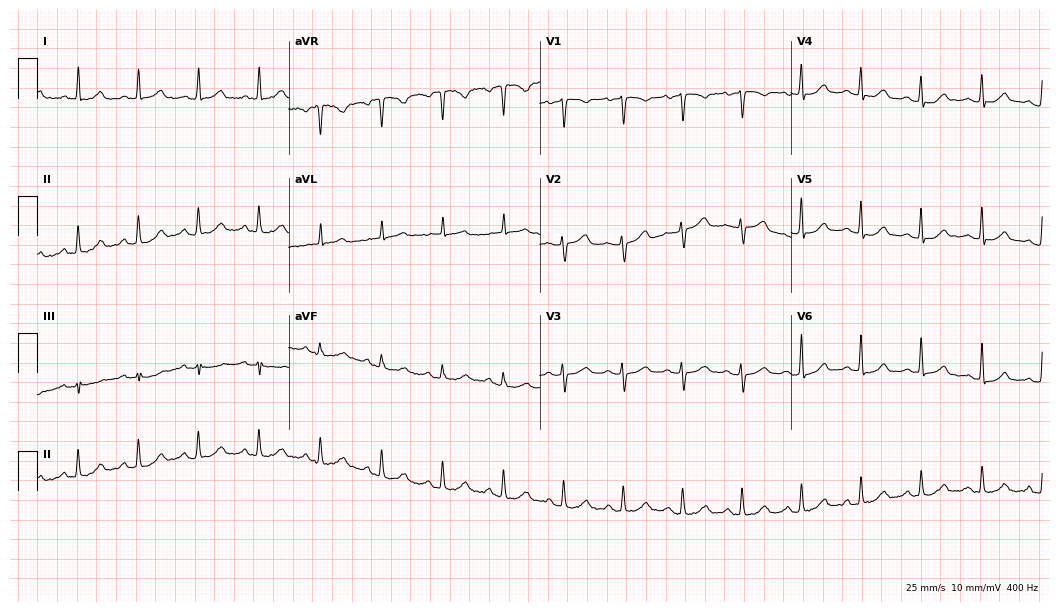
Resting 12-lead electrocardiogram (10.2-second recording at 400 Hz). Patient: a 62-year-old female. Read as a normal ECG.